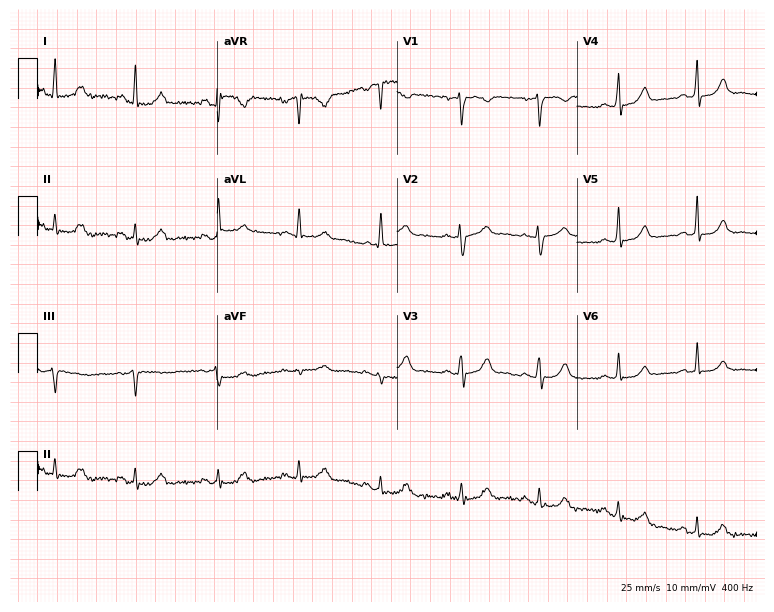
Standard 12-lead ECG recorded from a 45-year-old woman. None of these six findings is recorded: first-degree AV block, right bundle branch block, left bundle branch block, sinus bradycardia, atrial fibrillation, sinus tachycardia.